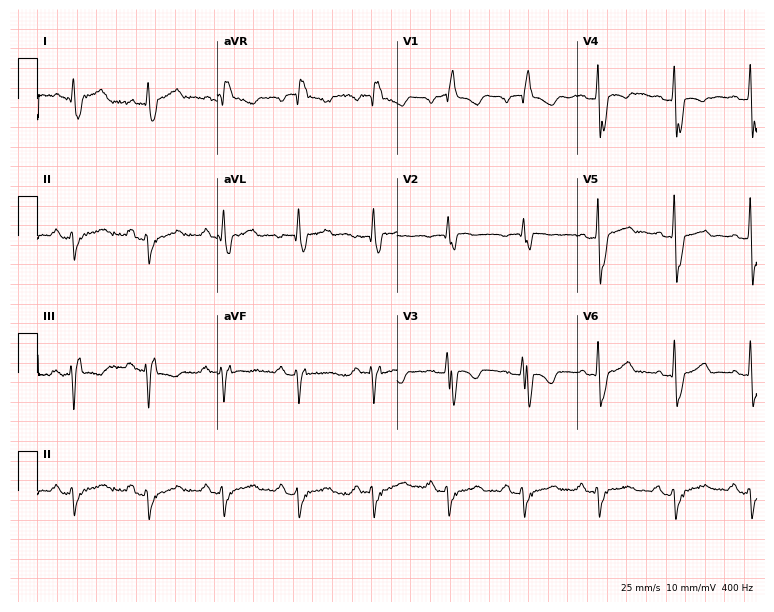
12-lead ECG (7.3-second recording at 400 Hz) from a male, 82 years old. Findings include right bundle branch block.